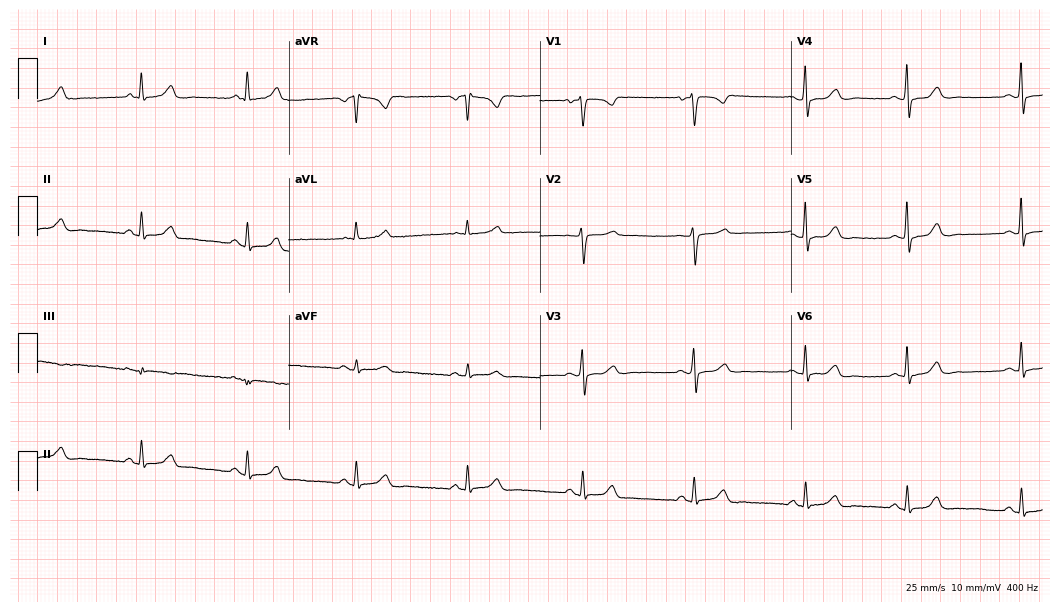
12-lead ECG from a 47-year-old female (10.2-second recording at 400 Hz). No first-degree AV block, right bundle branch block (RBBB), left bundle branch block (LBBB), sinus bradycardia, atrial fibrillation (AF) or sinus tachycardia recorded for this tracing.